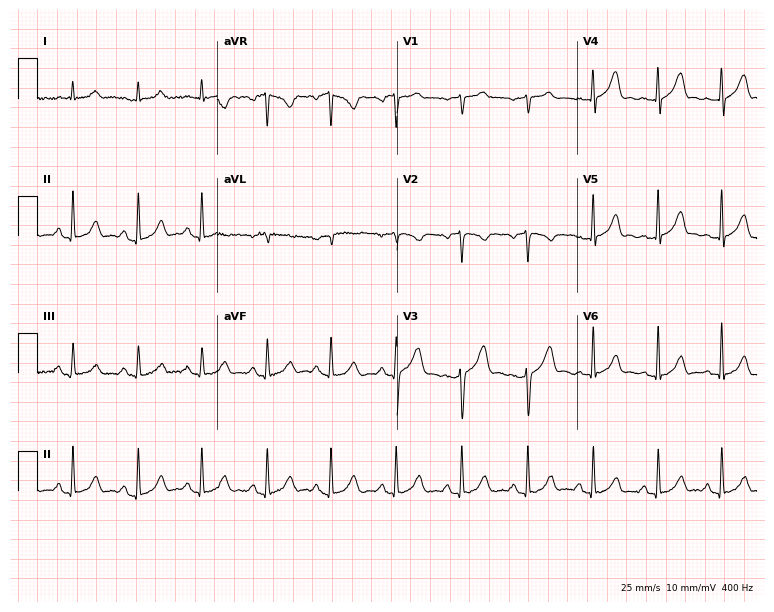
12-lead ECG from a male, 56 years old. Labelled as a normal ECG.